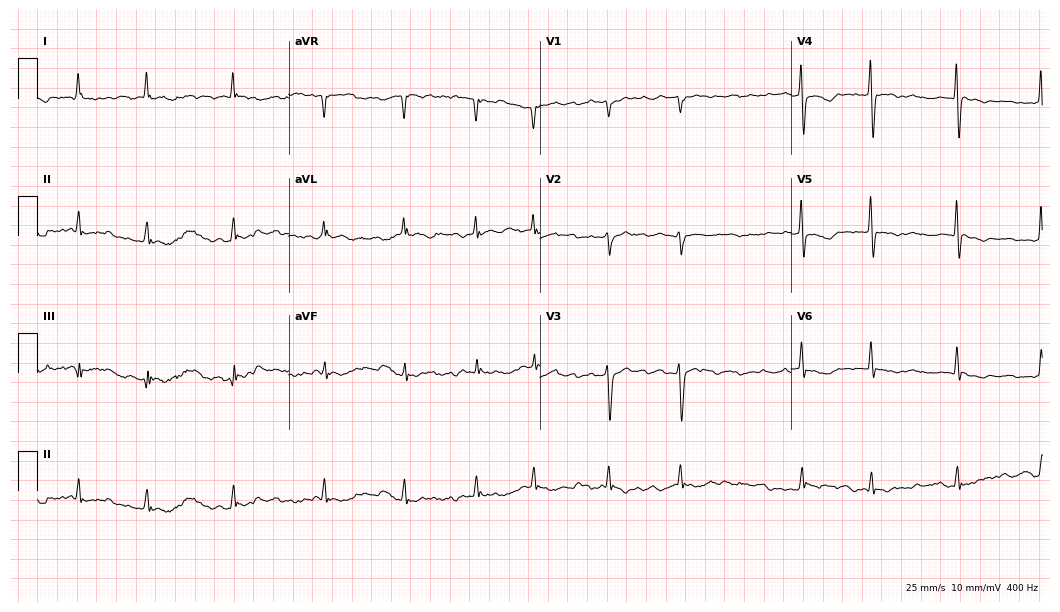
12-lead ECG from a female, 71 years old. No first-degree AV block, right bundle branch block, left bundle branch block, sinus bradycardia, atrial fibrillation or sinus tachycardia recorded for this tracing.